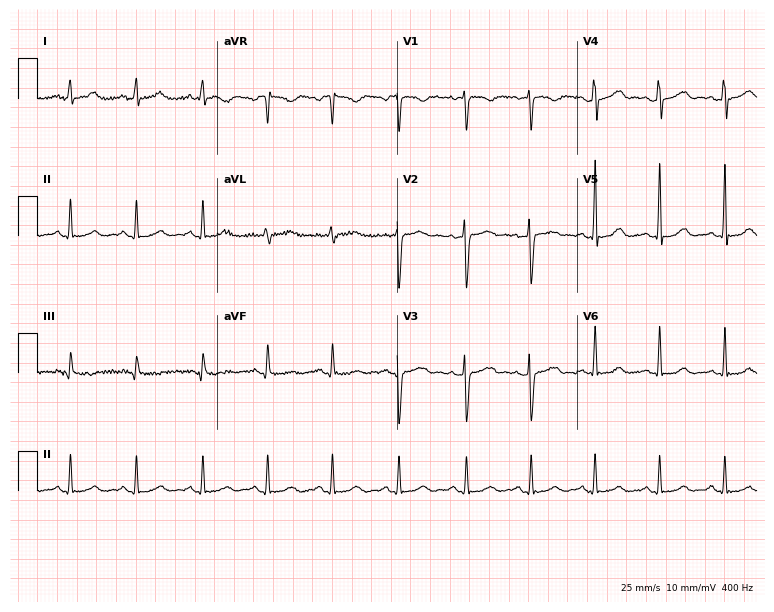
Electrocardiogram, a 34-year-old female patient. Overall reading on record: normal ECG.